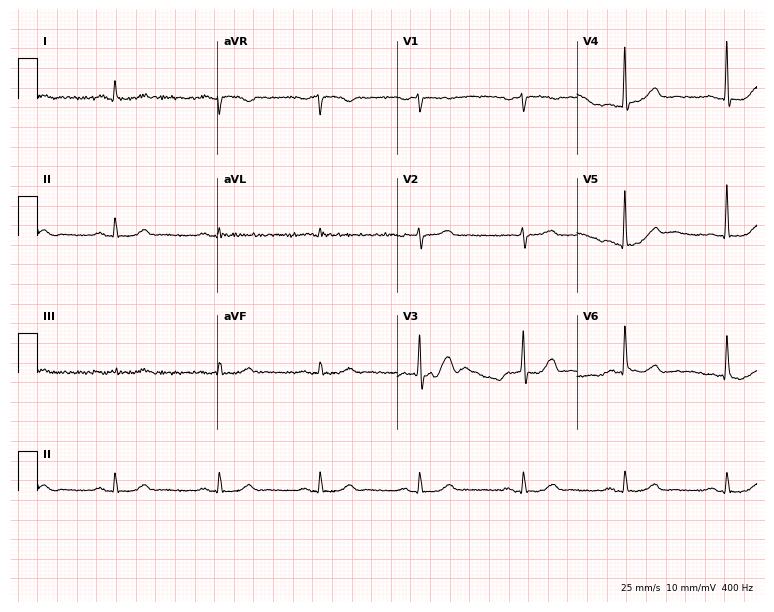
Standard 12-lead ECG recorded from an 81-year-old man (7.3-second recording at 400 Hz). None of these six findings is recorded: first-degree AV block, right bundle branch block (RBBB), left bundle branch block (LBBB), sinus bradycardia, atrial fibrillation (AF), sinus tachycardia.